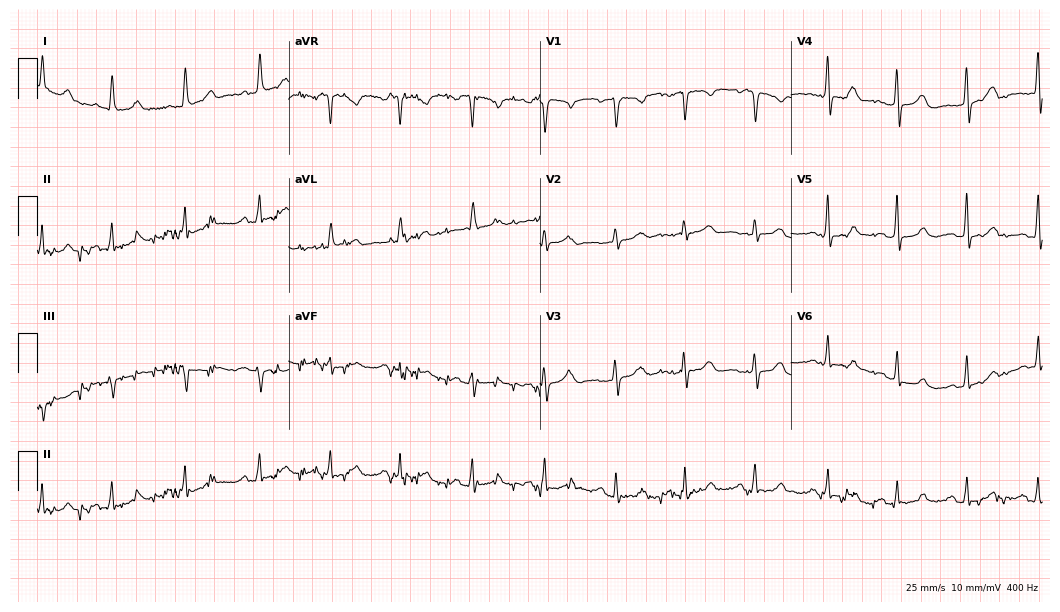
Standard 12-lead ECG recorded from a woman, 59 years old (10.2-second recording at 400 Hz). Read as a normal ECG.